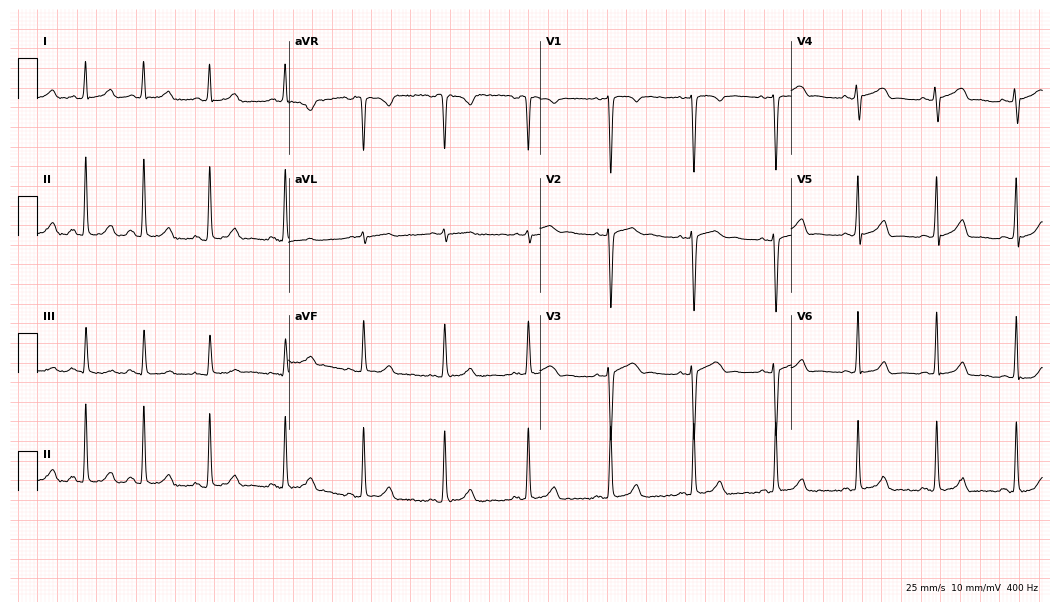
ECG — a woman, 31 years old. Labelled as a normal ECG.